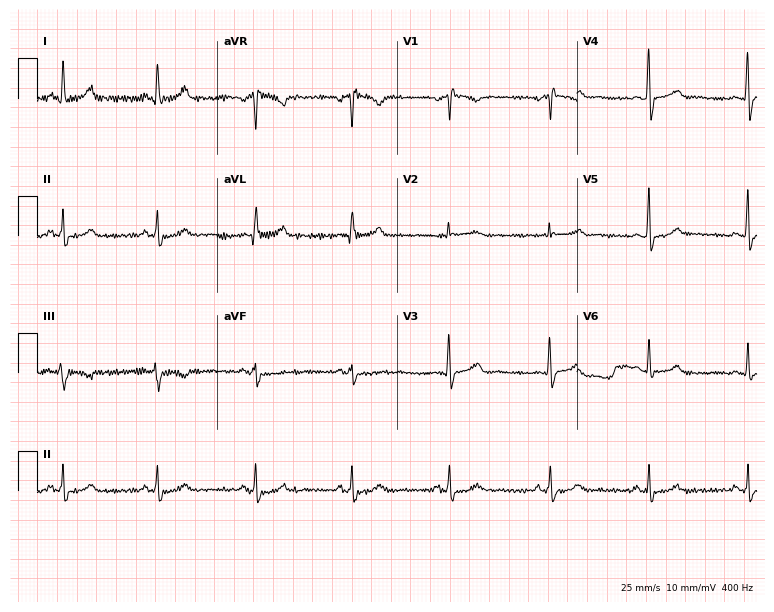
12-lead ECG from a 44-year-old woman (7.3-second recording at 400 Hz). No first-degree AV block, right bundle branch block, left bundle branch block, sinus bradycardia, atrial fibrillation or sinus tachycardia recorded for this tracing. Findings outside these six are not listed.